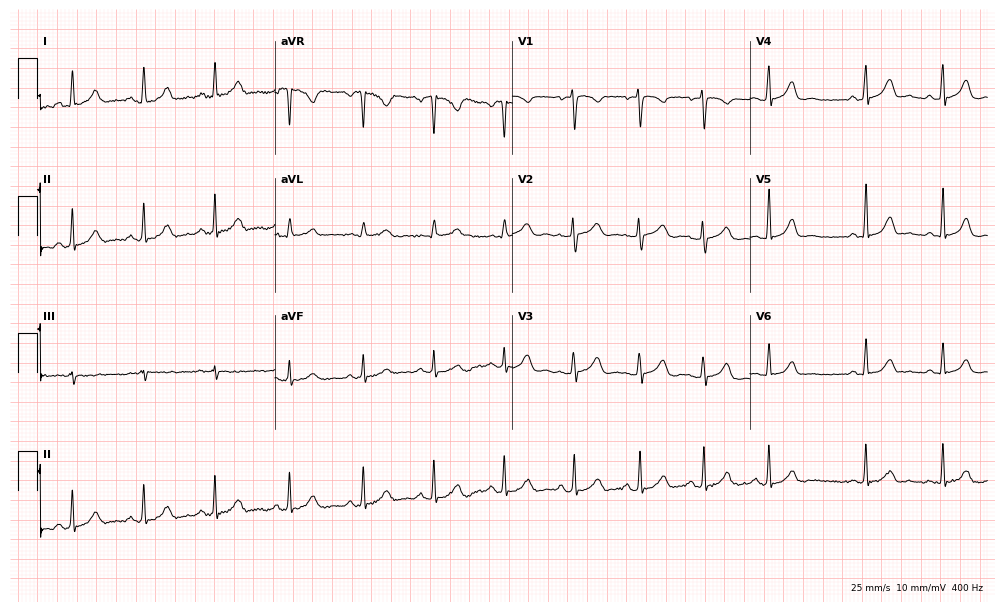
Electrocardiogram (9.7-second recording at 400 Hz), a 33-year-old female. Overall reading on record: normal ECG.